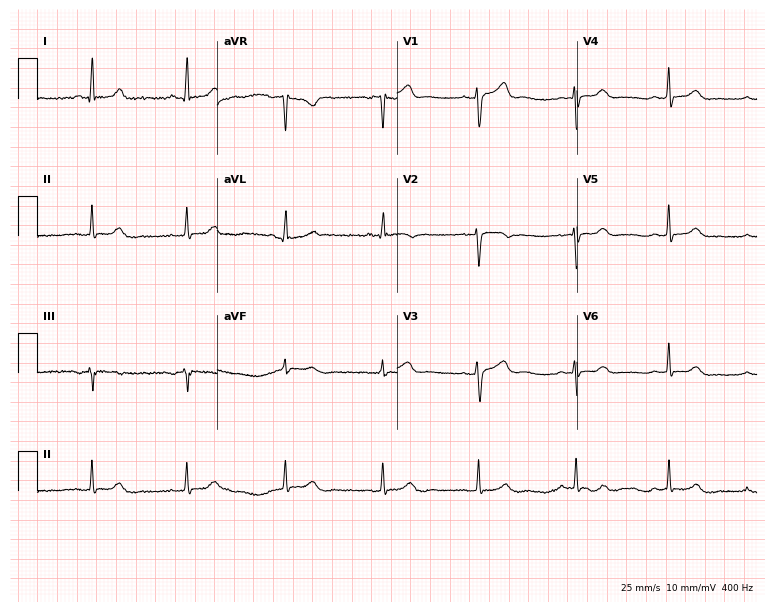
Standard 12-lead ECG recorded from a 47-year-old woman (7.3-second recording at 400 Hz). Read as a normal ECG.